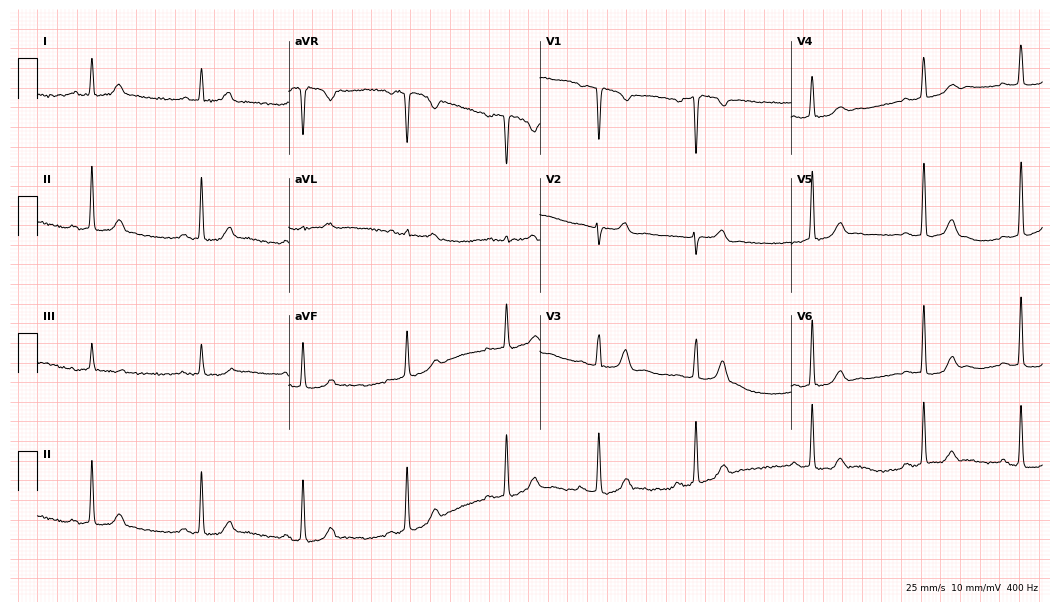
12-lead ECG from a woman, 42 years old. Labelled as a normal ECG.